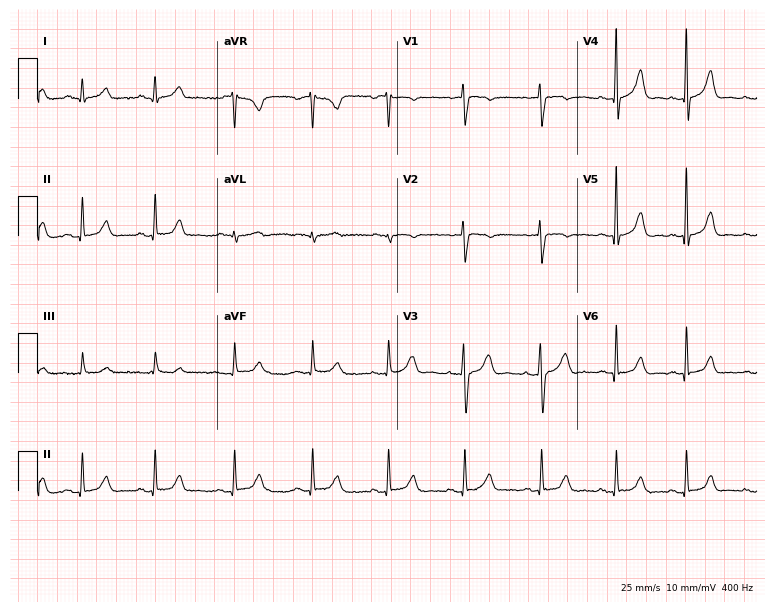
12-lead ECG from a female, 37 years old. Recorded interpretation: within normal limits.